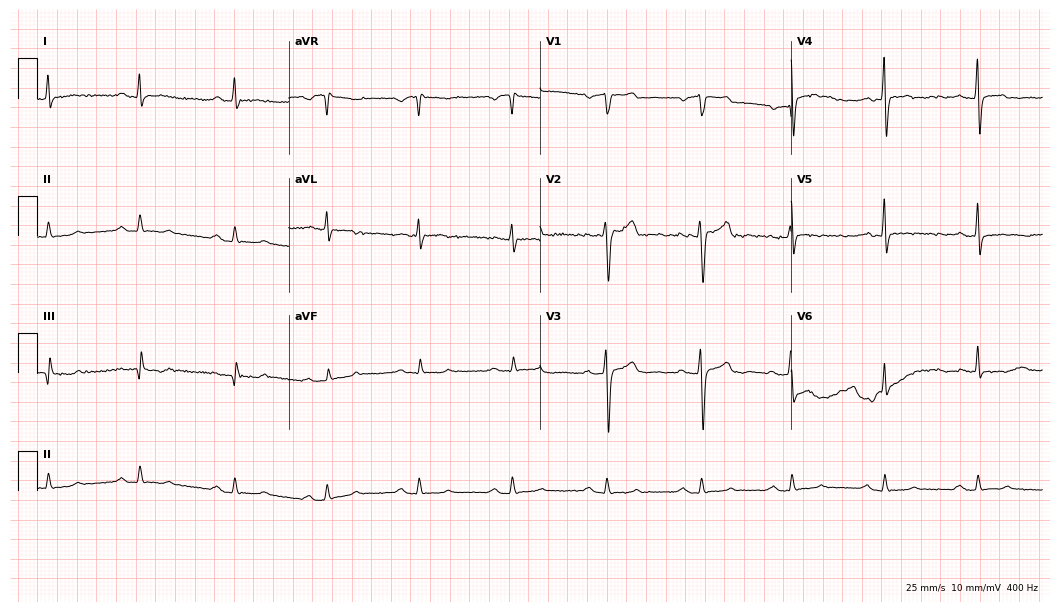
12-lead ECG from a 58-year-old male patient. Shows first-degree AV block.